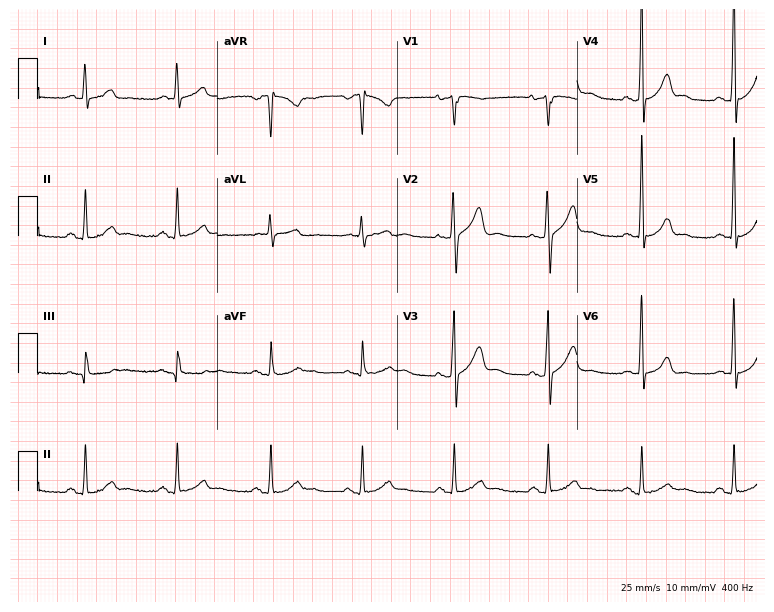
Standard 12-lead ECG recorded from a 62-year-old male (7.3-second recording at 400 Hz). Read as a normal ECG.